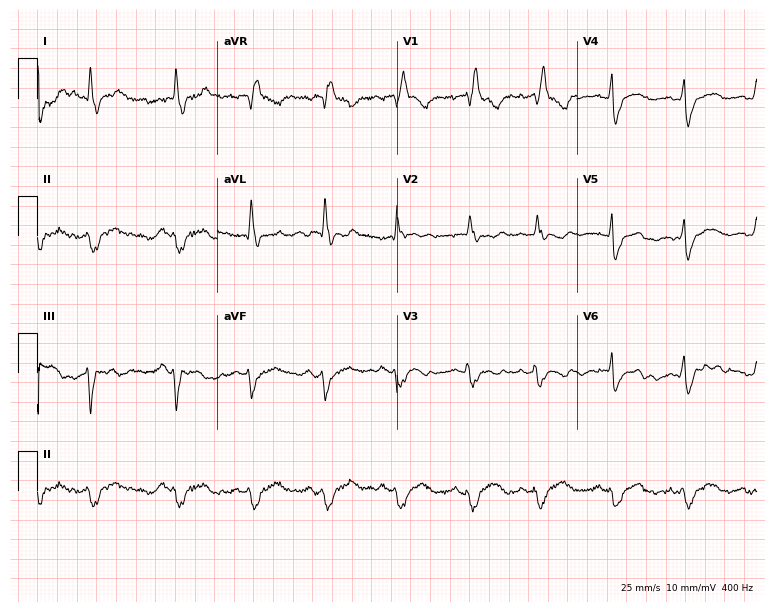
ECG — a 73-year-old female. Findings include right bundle branch block (RBBB).